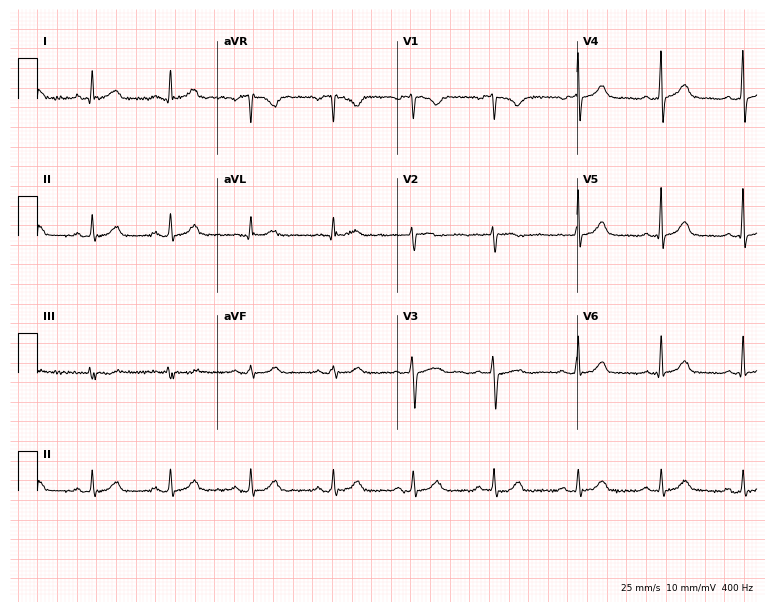
12-lead ECG from a female patient, 50 years old (7.3-second recording at 400 Hz). Recorded interpretation: within normal limits.